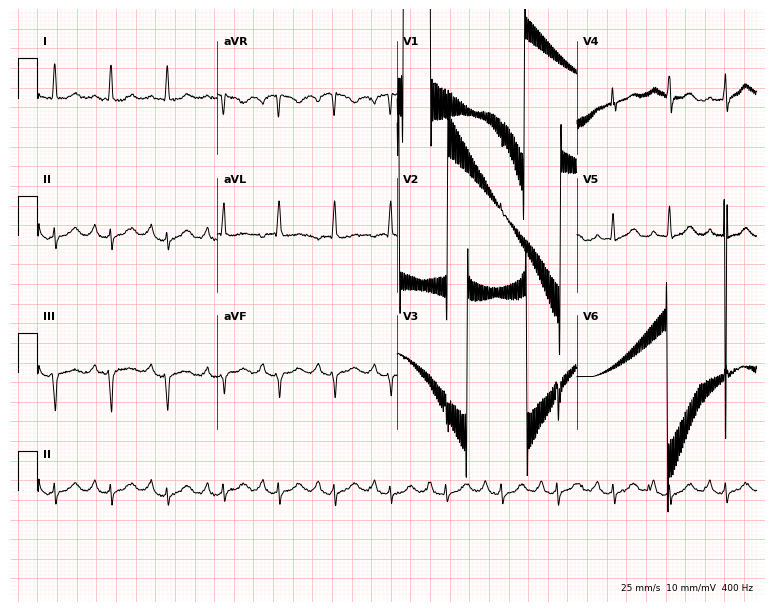
Standard 12-lead ECG recorded from a 72-year-old female (7.3-second recording at 400 Hz). None of these six findings is recorded: first-degree AV block, right bundle branch block, left bundle branch block, sinus bradycardia, atrial fibrillation, sinus tachycardia. Only these six findings were labelled.